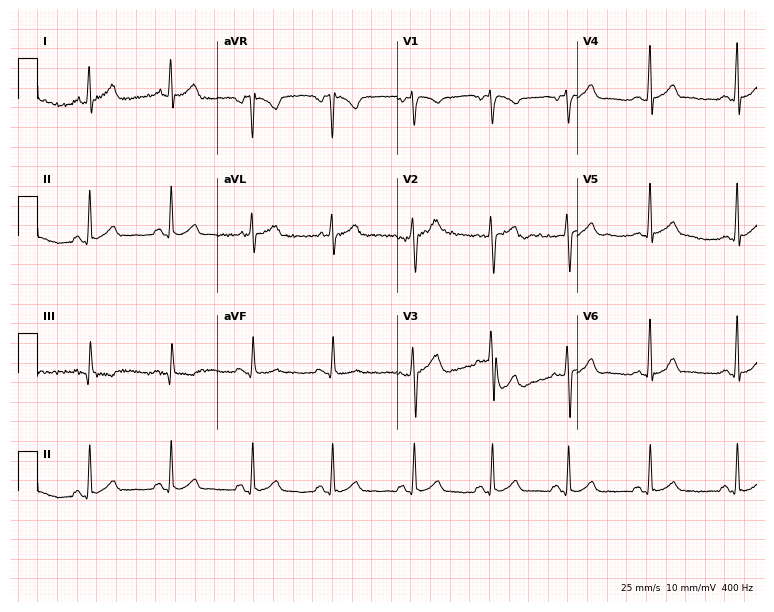
12-lead ECG (7.3-second recording at 400 Hz) from a 39-year-old man. Labelled as a normal ECG.